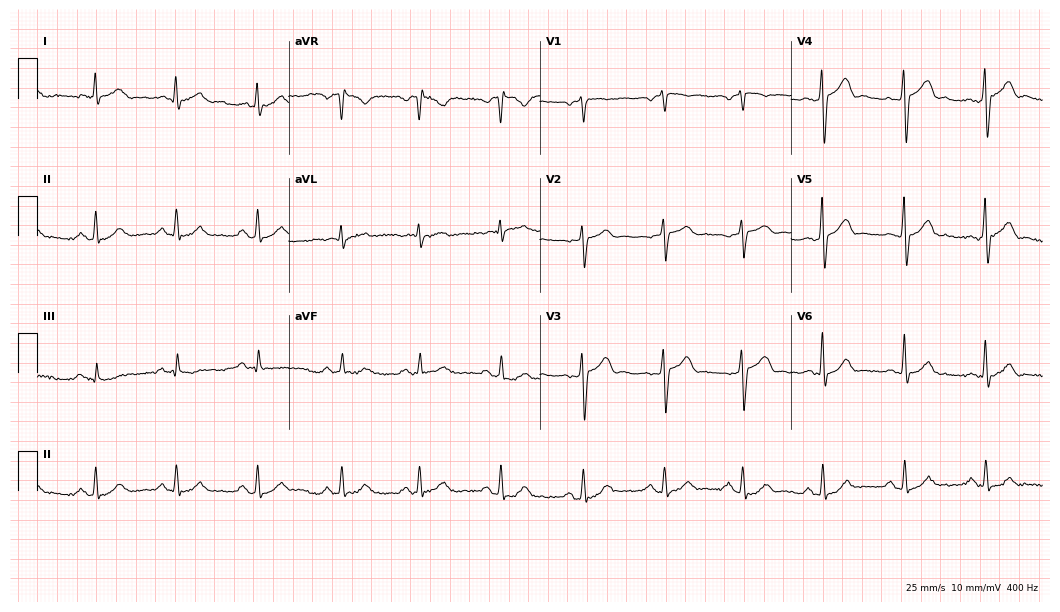
Resting 12-lead electrocardiogram. Patient: a 62-year-old man. None of these six findings is recorded: first-degree AV block, right bundle branch block, left bundle branch block, sinus bradycardia, atrial fibrillation, sinus tachycardia.